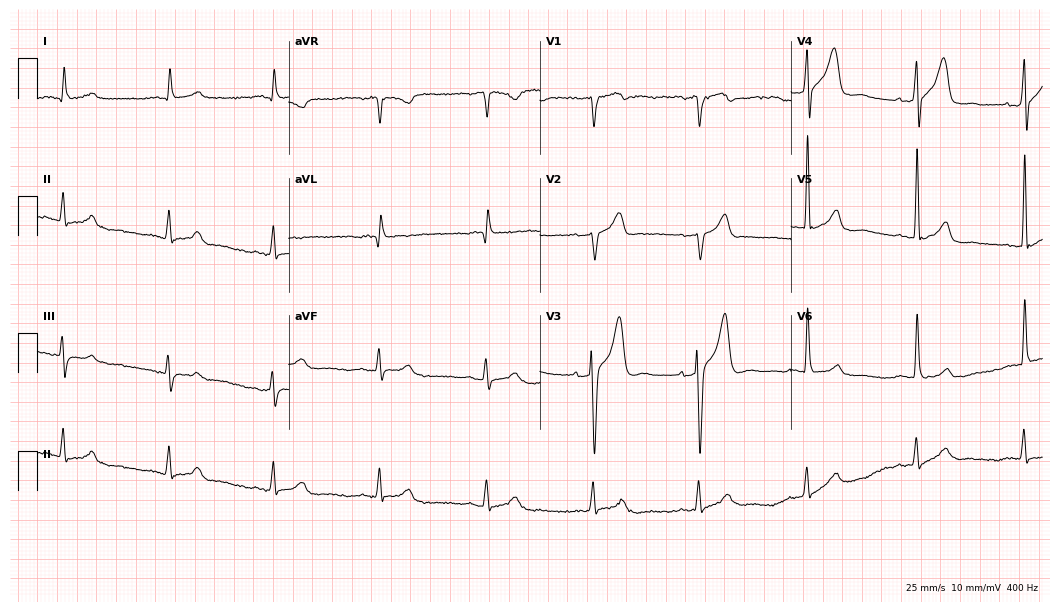
Resting 12-lead electrocardiogram. Patient: a male, 79 years old. Read as a normal ECG.